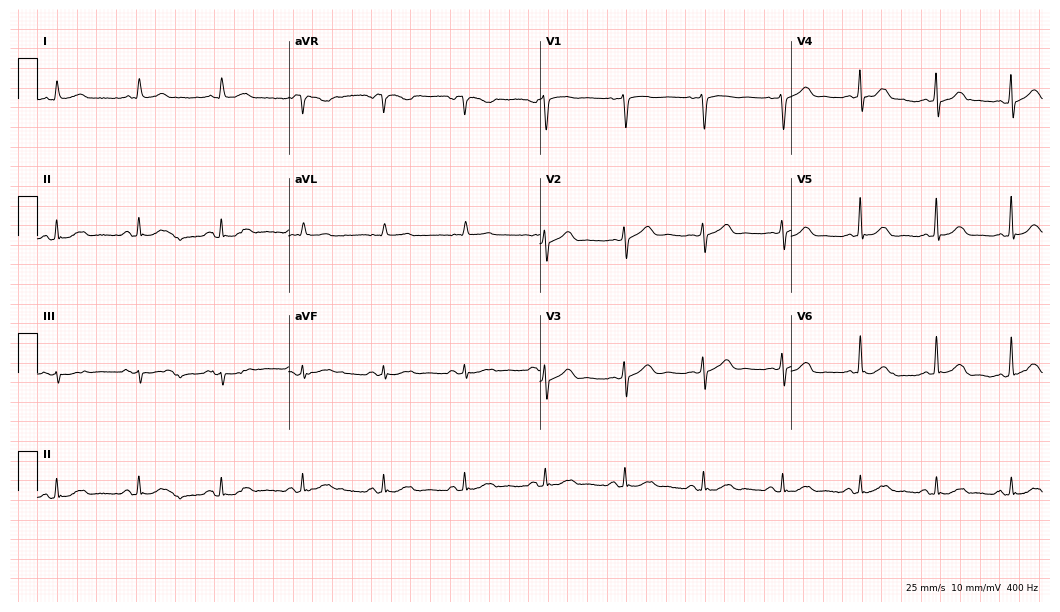
12-lead ECG from a male, 83 years old. Screened for six findings — first-degree AV block, right bundle branch block (RBBB), left bundle branch block (LBBB), sinus bradycardia, atrial fibrillation (AF), sinus tachycardia — none is recorded.